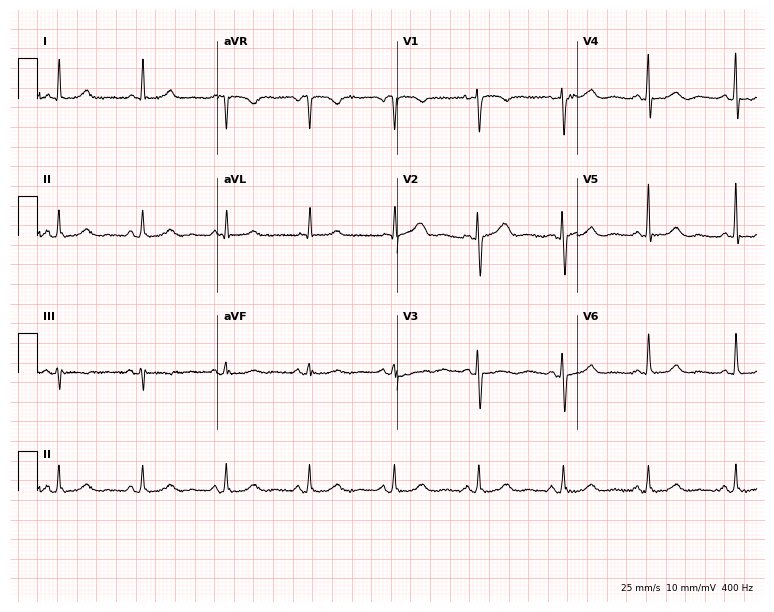
Standard 12-lead ECG recorded from a 61-year-old female patient (7.3-second recording at 400 Hz). Read as a normal ECG.